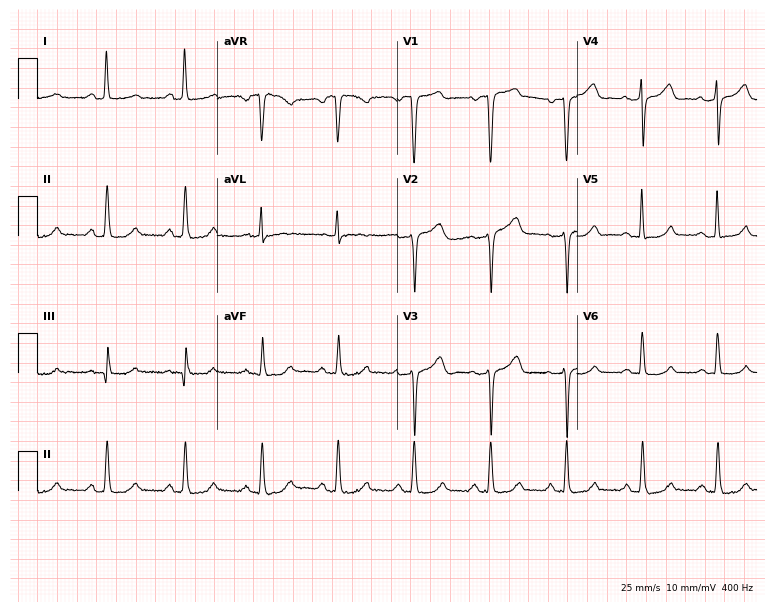
Standard 12-lead ECG recorded from a 49-year-old female patient. Read as a normal ECG.